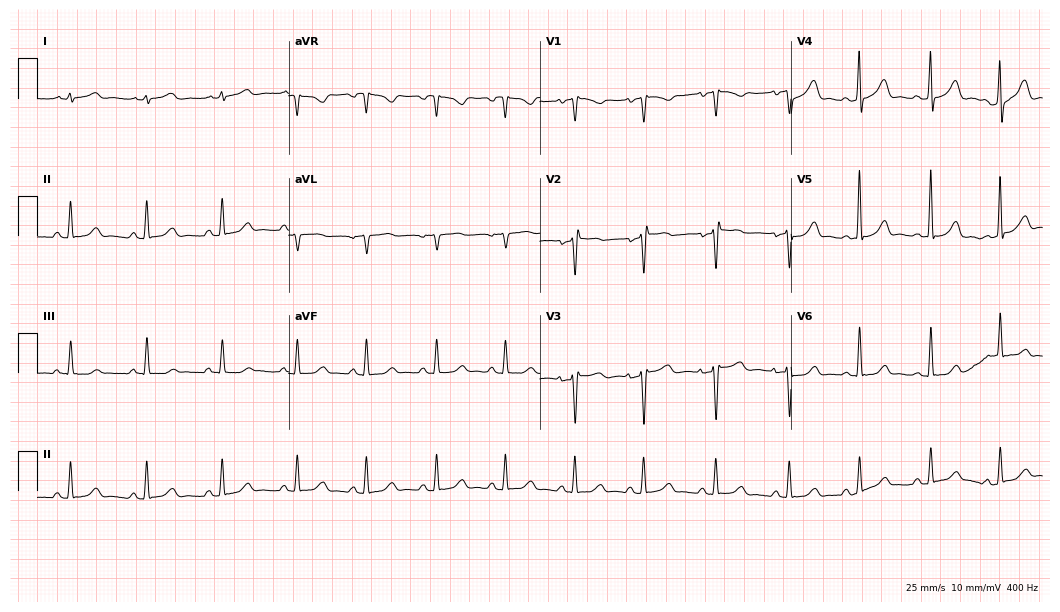
Electrocardiogram (10.2-second recording at 400 Hz), a 22-year-old female. Overall reading on record: normal ECG.